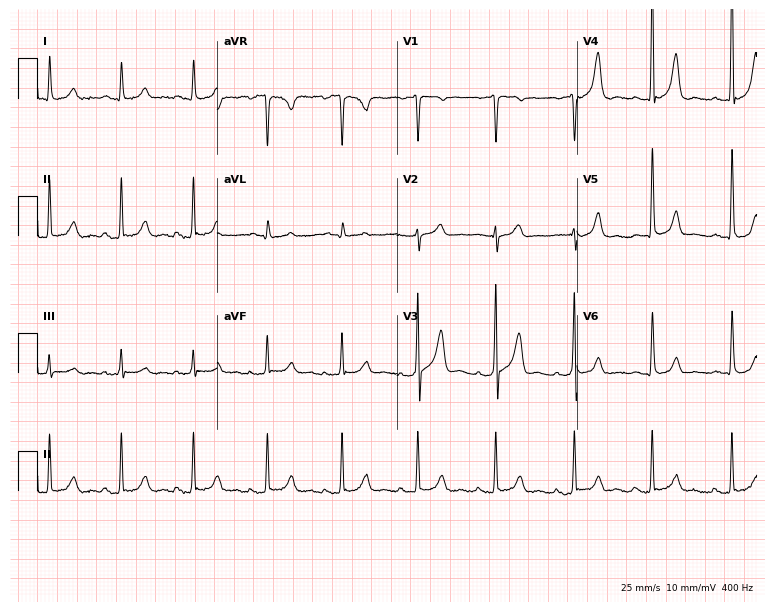
ECG (7.3-second recording at 400 Hz) — a male patient, 48 years old. Labelled as a normal ECG.